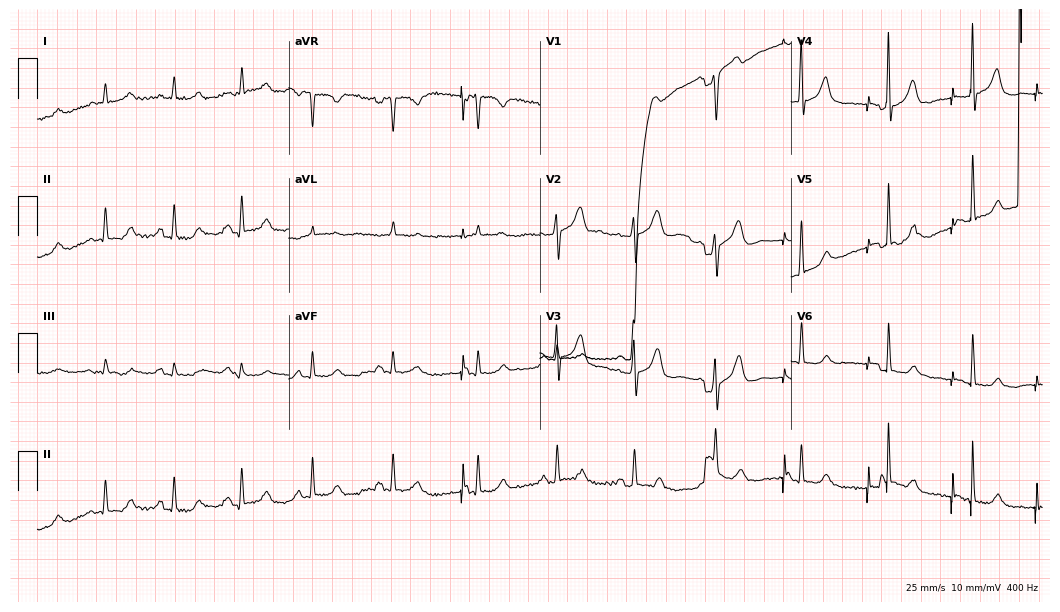
ECG (10.2-second recording at 400 Hz) — a male patient, 69 years old. Screened for six findings — first-degree AV block, right bundle branch block, left bundle branch block, sinus bradycardia, atrial fibrillation, sinus tachycardia — none is recorded.